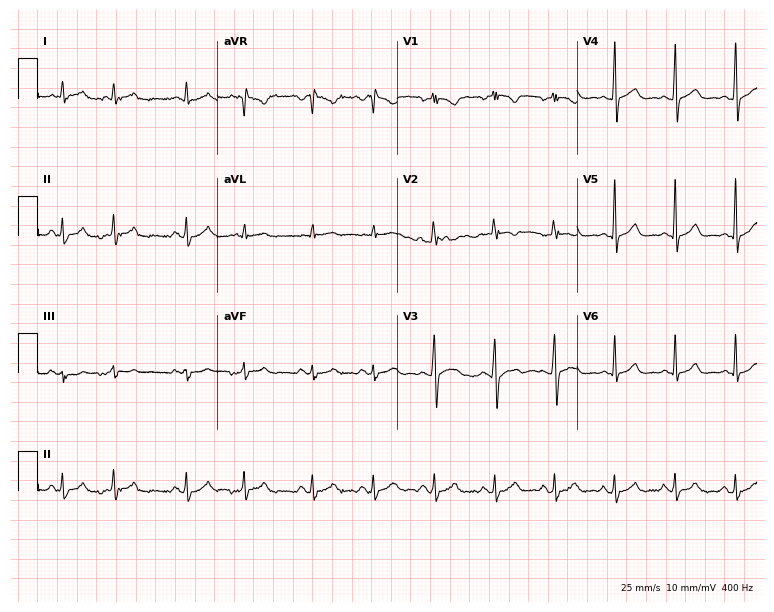
12-lead ECG from a 28-year-old male patient. Labelled as a normal ECG.